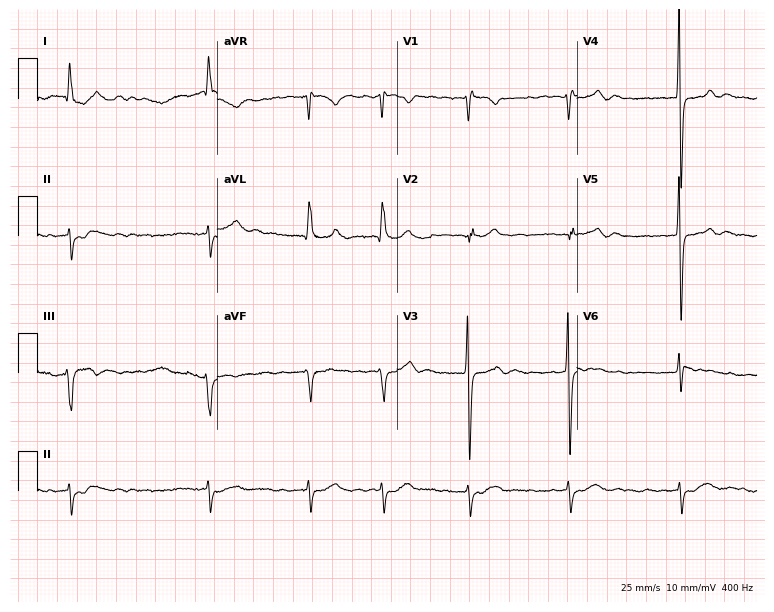
12-lead ECG (7.3-second recording at 400 Hz) from a 68-year-old man. Findings include atrial fibrillation.